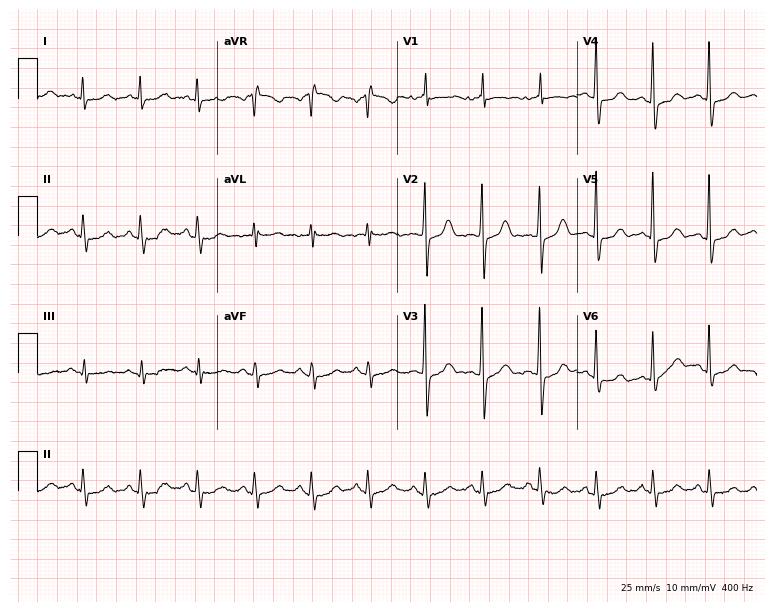
12-lead ECG from a 67-year-old woman. Shows sinus tachycardia (a sinus rate of 100 beats per minute or more).